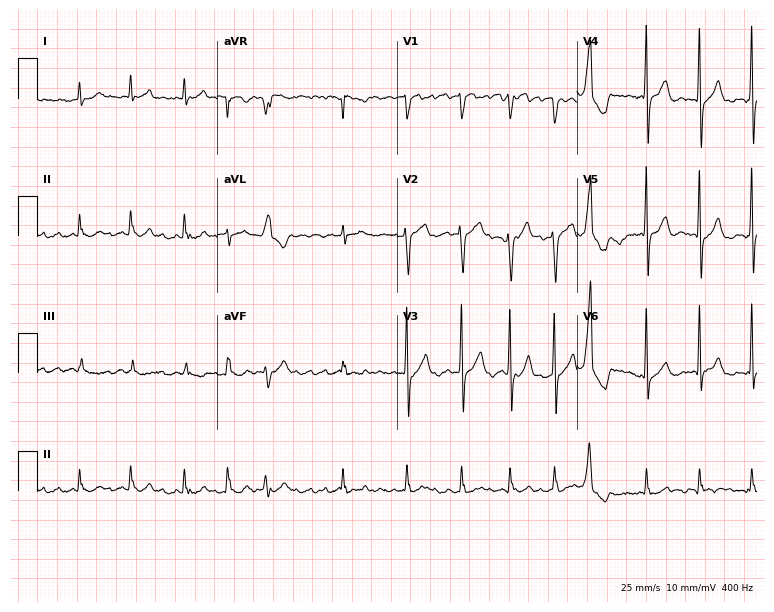
ECG — an 80-year-old man. Findings include atrial fibrillation (AF).